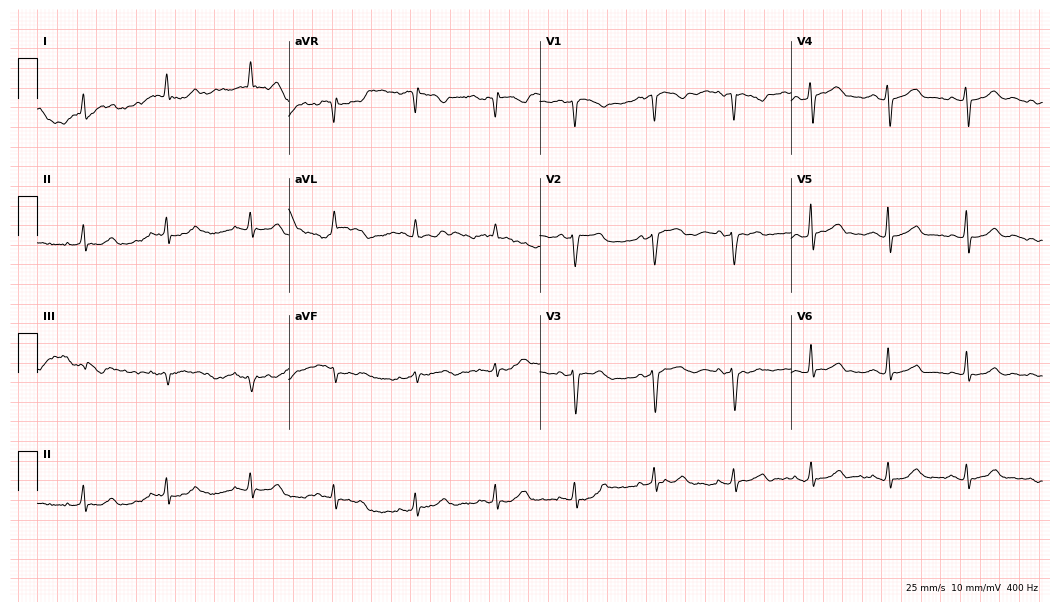
12-lead ECG (10.2-second recording at 400 Hz) from a 55-year-old female. Screened for six findings — first-degree AV block, right bundle branch block, left bundle branch block, sinus bradycardia, atrial fibrillation, sinus tachycardia — none is recorded.